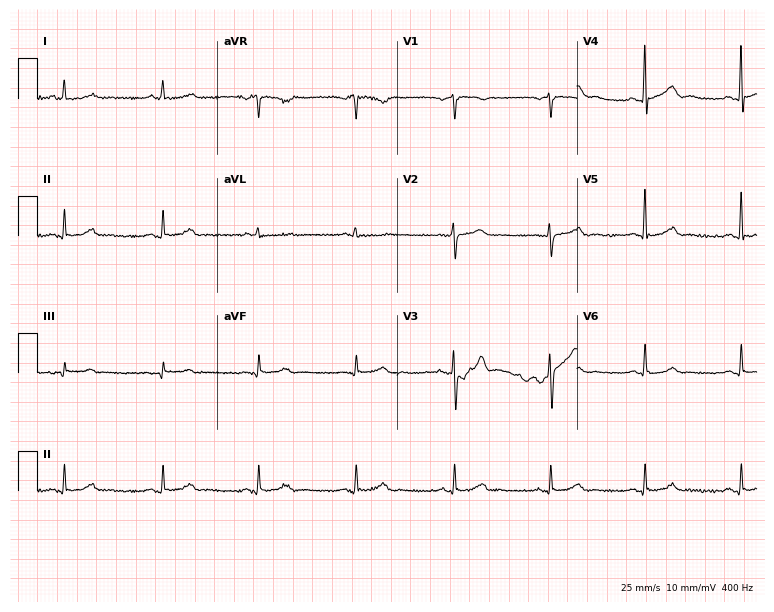
Electrocardiogram (7.3-second recording at 400 Hz), a 64-year-old man. Overall reading on record: normal ECG.